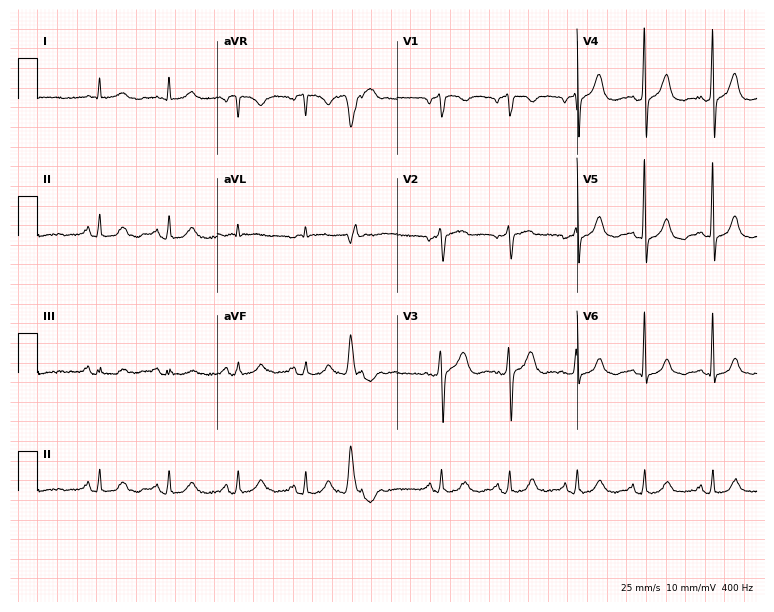
ECG (7.3-second recording at 400 Hz) — an 85-year-old man. Screened for six findings — first-degree AV block, right bundle branch block, left bundle branch block, sinus bradycardia, atrial fibrillation, sinus tachycardia — none is recorded. Other findings, if any, are not listed.